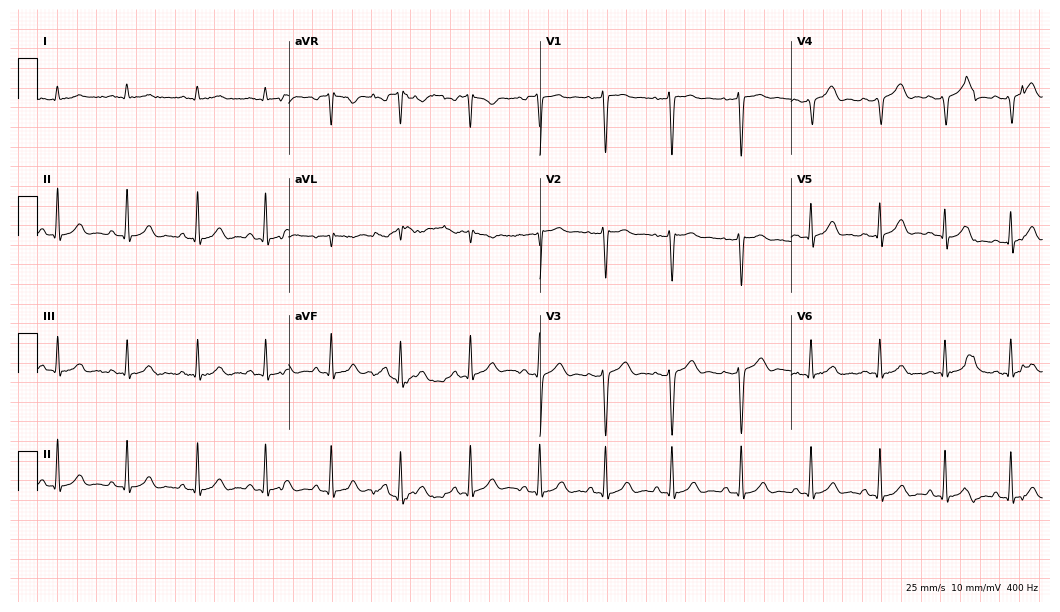
ECG — a 32-year-old male. Screened for six findings — first-degree AV block, right bundle branch block, left bundle branch block, sinus bradycardia, atrial fibrillation, sinus tachycardia — none is recorded. Other findings, if any, are not listed.